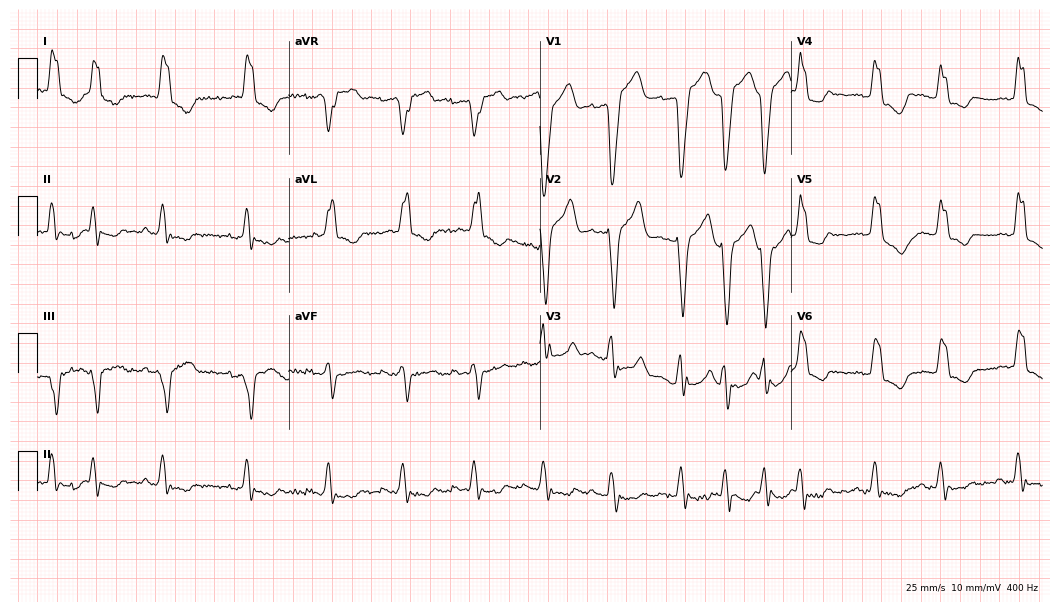
12-lead ECG from an 80-year-old man. Shows left bundle branch block, atrial fibrillation.